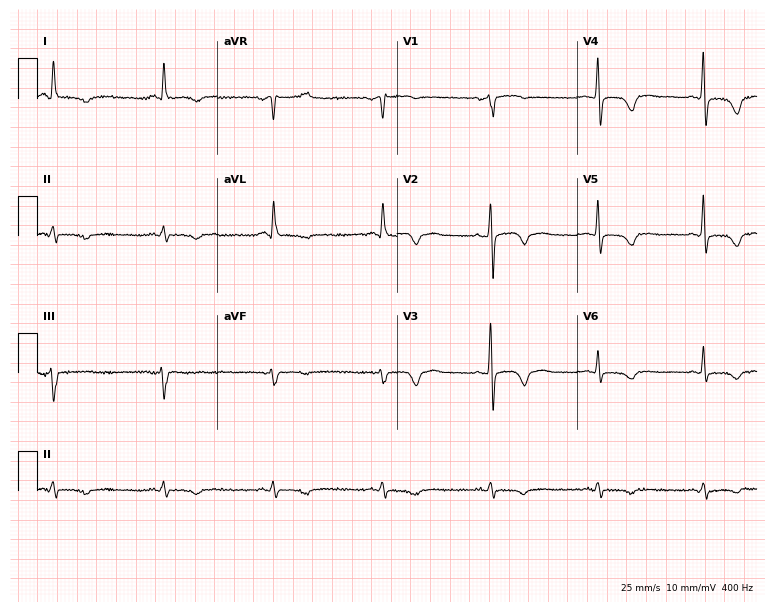
Electrocardiogram (7.3-second recording at 400 Hz), a female, 63 years old. Overall reading on record: normal ECG.